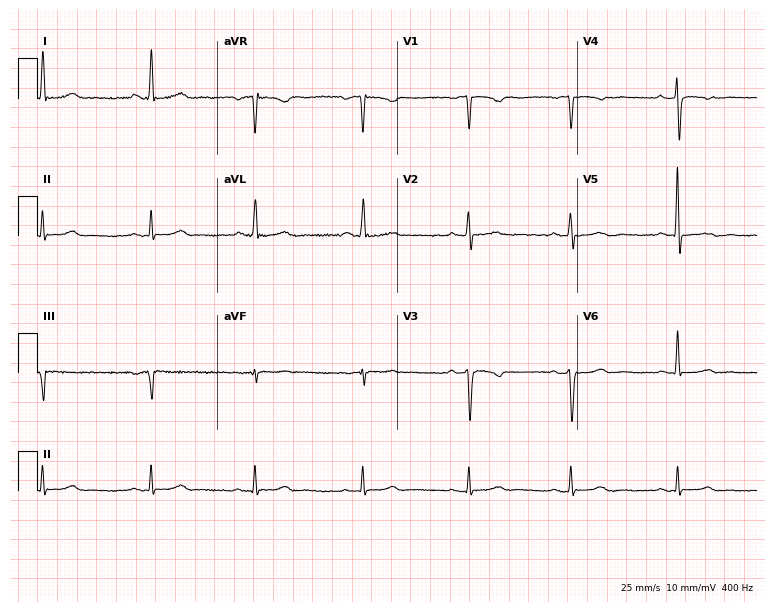
ECG (7.3-second recording at 400 Hz) — a woman, 47 years old. Screened for six findings — first-degree AV block, right bundle branch block (RBBB), left bundle branch block (LBBB), sinus bradycardia, atrial fibrillation (AF), sinus tachycardia — none is recorded.